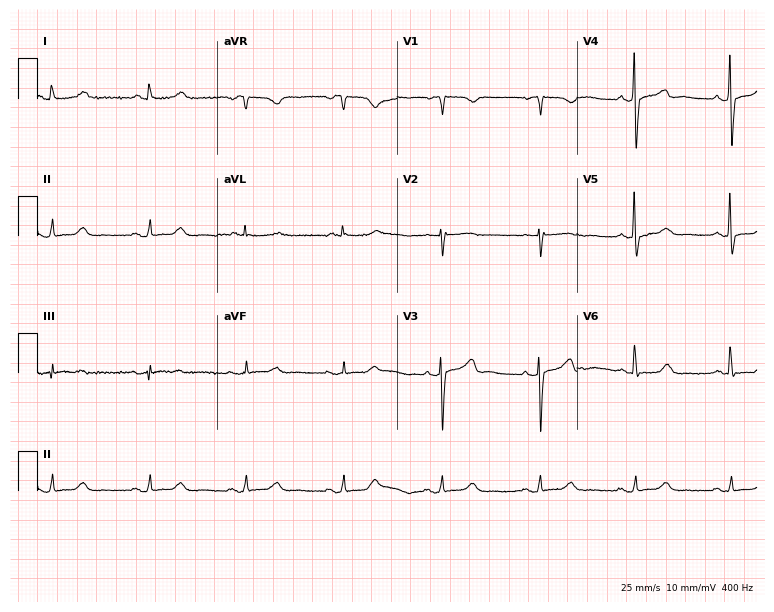
Standard 12-lead ECG recorded from a female patient, 79 years old. Read as a normal ECG.